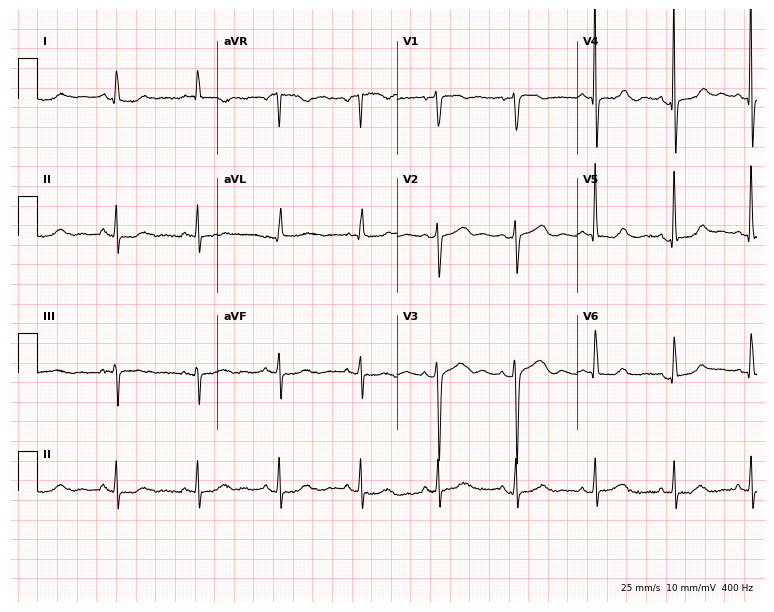
12-lead ECG from a 76-year-old woman. No first-degree AV block, right bundle branch block (RBBB), left bundle branch block (LBBB), sinus bradycardia, atrial fibrillation (AF) or sinus tachycardia recorded for this tracing.